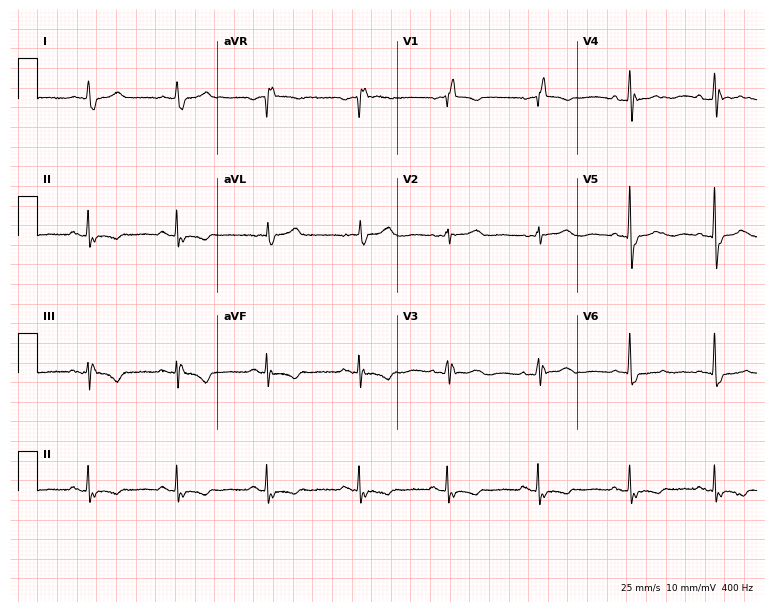
12-lead ECG from a female patient, 84 years old (7.3-second recording at 400 Hz). No first-degree AV block, right bundle branch block, left bundle branch block, sinus bradycardia, atrial fibrillation or sinus tachycardia recorded for this tracing. Other findings, if any, are not listed.